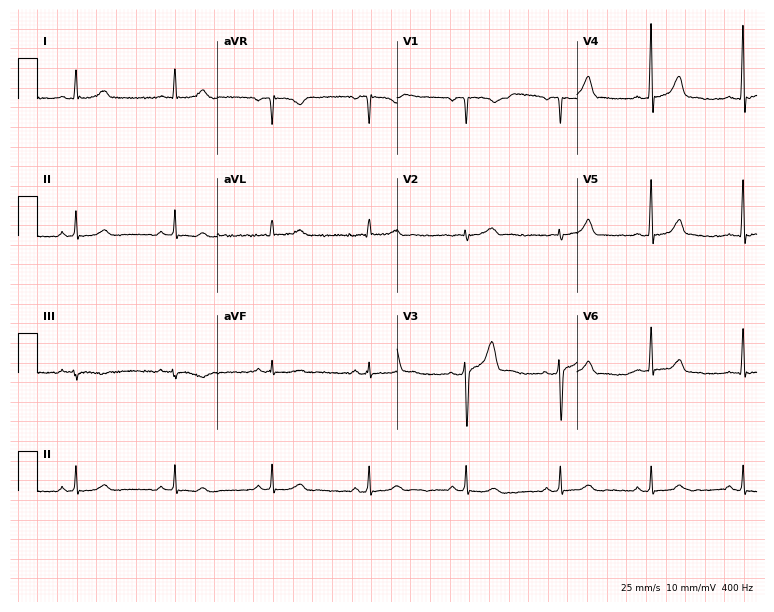
12-lead ECG (7.3-second recording at 400 Hz) from a man, 44 years old. Screened for six findings — first-degree AV block, right bundle branch block, left bundle branch block, sinus bradycardia, atrial fibrillation, sinus tachycardia — none is recorded.